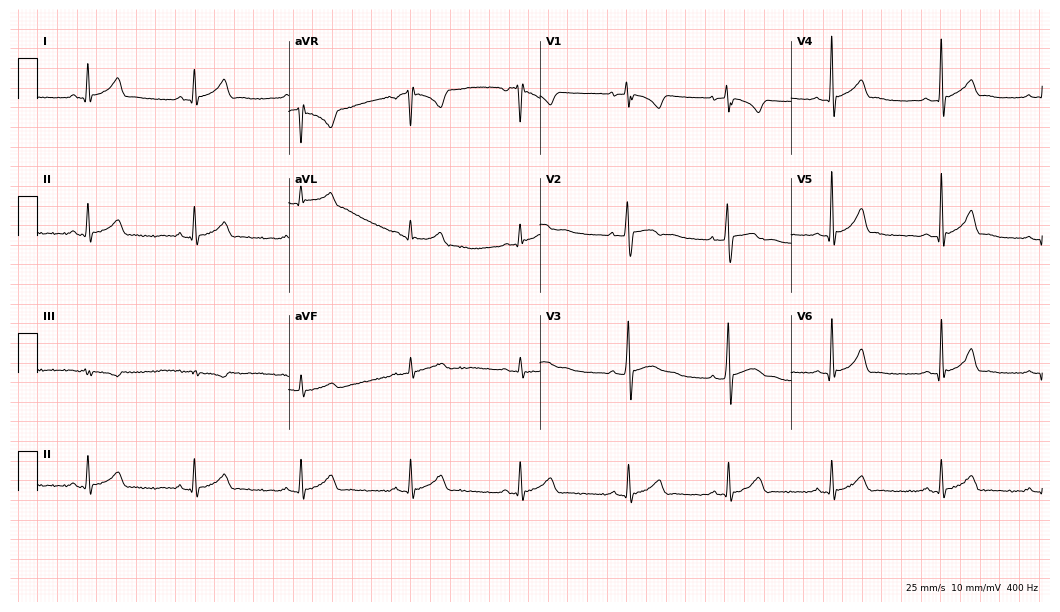
Standard 12-lead ECG recorded from a man, 26 years old. Read as a normal ECG.